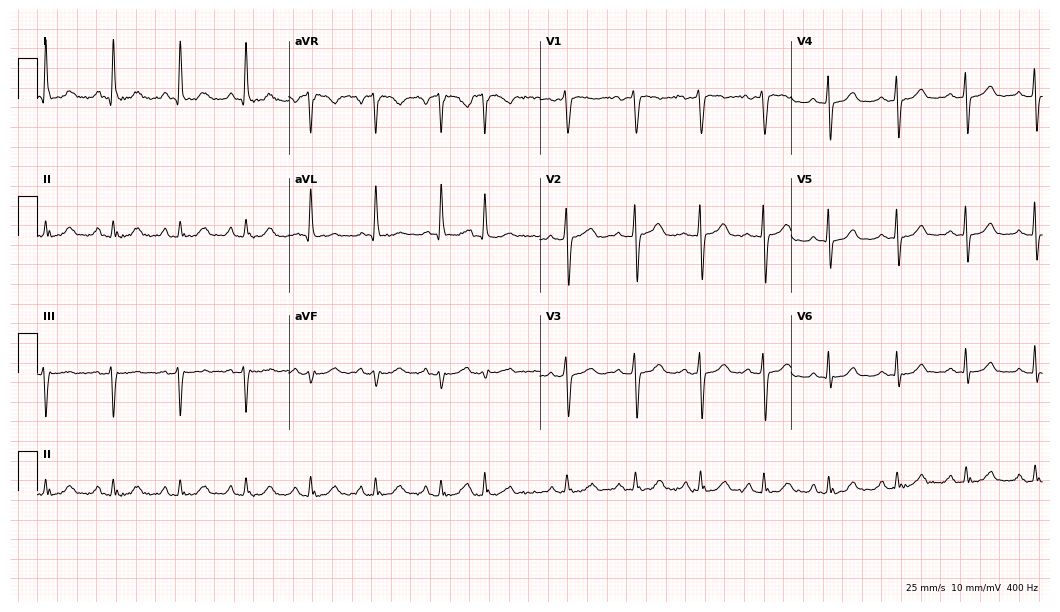
Standard 12-lead ECG recorded from a woman, 47 years old (10.2-second recording at 400 Hz). None of these six findings is recorded: first-degree AV block, right bundle branch block (RBBB), left bundle branch block (LBBB), sinus bradycardia, atrial fibrillation (AF), sinus tachycardia. Findings outside these six are not listed.